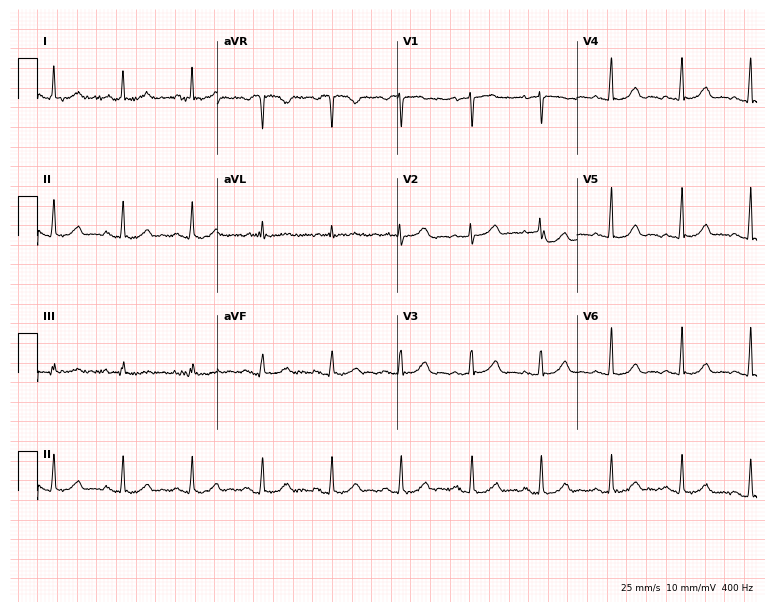
ECG — a female, 72 years old. Screened for six findings — first-degree AV block, right bundle branch block (RBBB), left bundle branch block (LBBB), sinus bradycardia, atrial fibrillation (AF), sinus tachycardia — none is recorded.